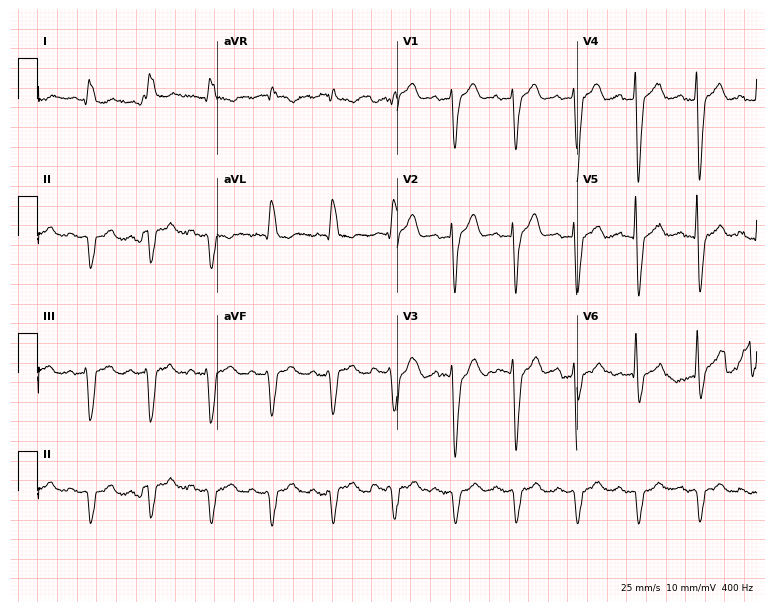
ECG (7.3-second recording at 400 Hz) — a 79-year-old man. Screened for six findings — first-degree AV block, right bundle branch block, left bundle branch block, sinus bradycardia, atrial fibrillation, sinus tachycardia — none is recorded. Only these six findings were labelled.